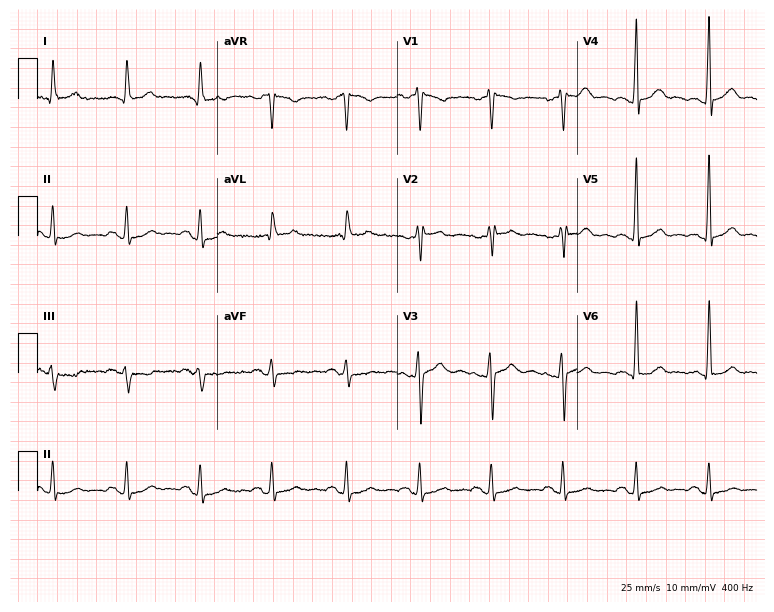
ECG (7.3-second recording at 400 Hz) — a 27-year-old male patient. Labelled as a normal ECG.